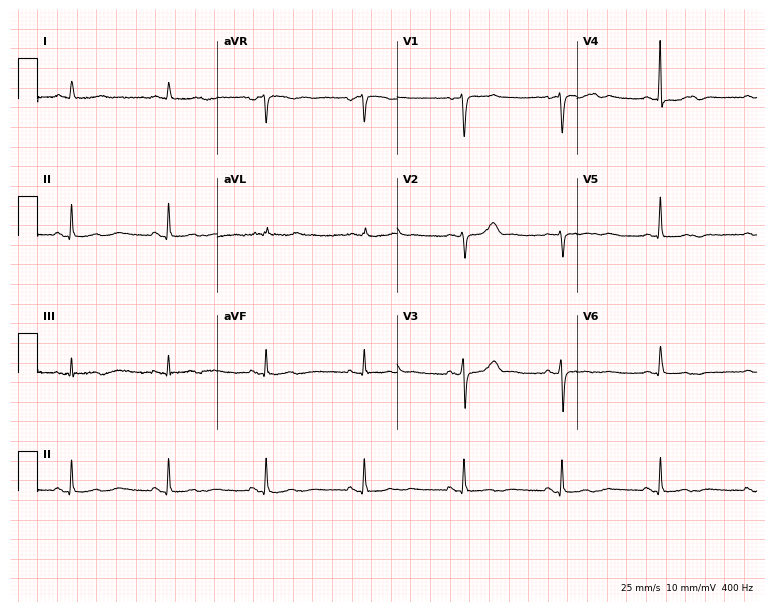
Standard 12-lead ECG recorded from a female, 51 years old (7.3-second recording at 400 Hz). None of these six findings is recorded: first-degree AV block, right bundle branch block (RBBB), left bundle branch block (LBBB), sinus bradycardia, atrial fibrillation (AF), sinus tachycardia.